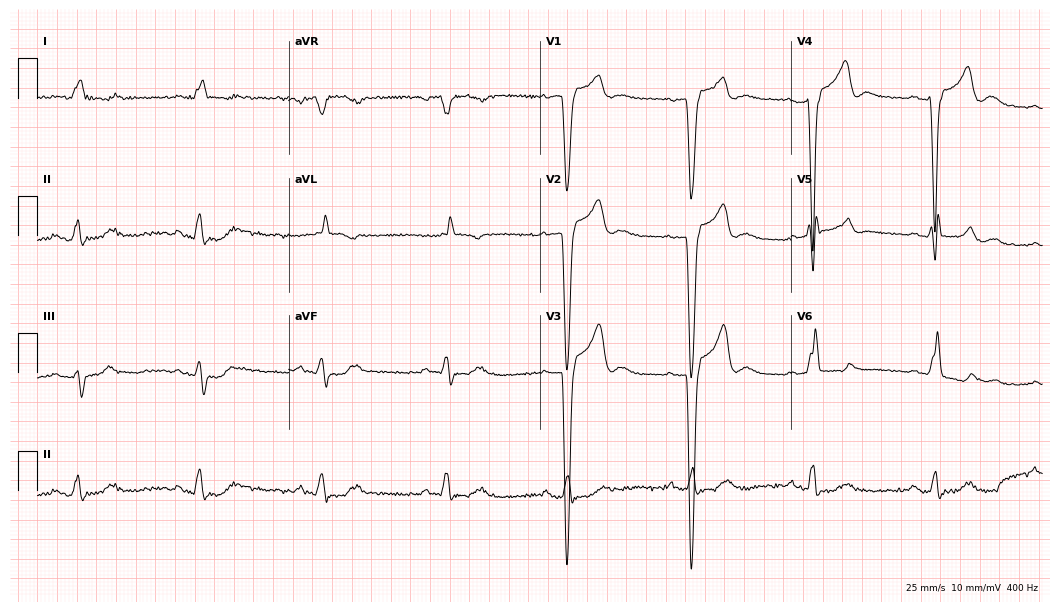
12-lead ECG (10.2-second recording at 400 Hz) from a male, 81 years old. Findings include first-degree AV block, left bundle branch block.